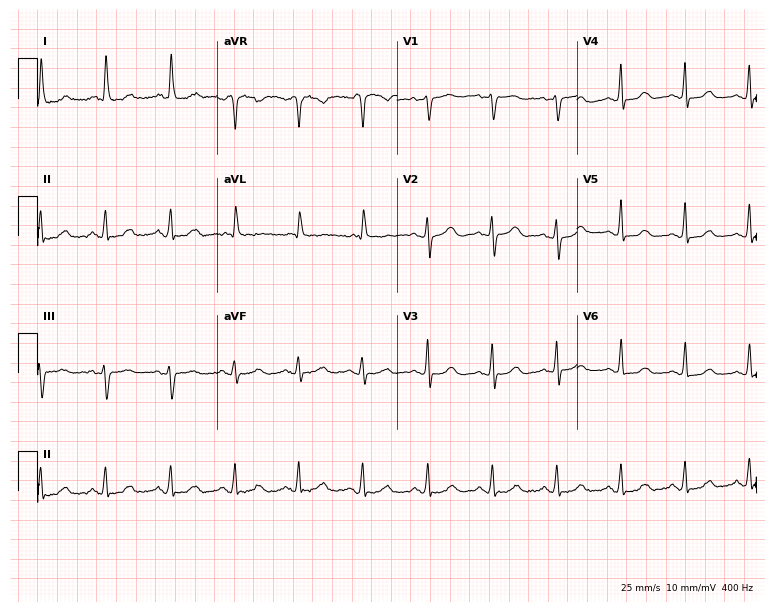
ECG (7.3-second recording at 400 Hz) — a female patient, 76 years old. Screened for six findings — first-degree AV block, right bundle branch block, left bundle branch block, sinus bradycardia, atrial fibrillation, sinus tachycardia — none is recorded. Findings outside these six are not listed.